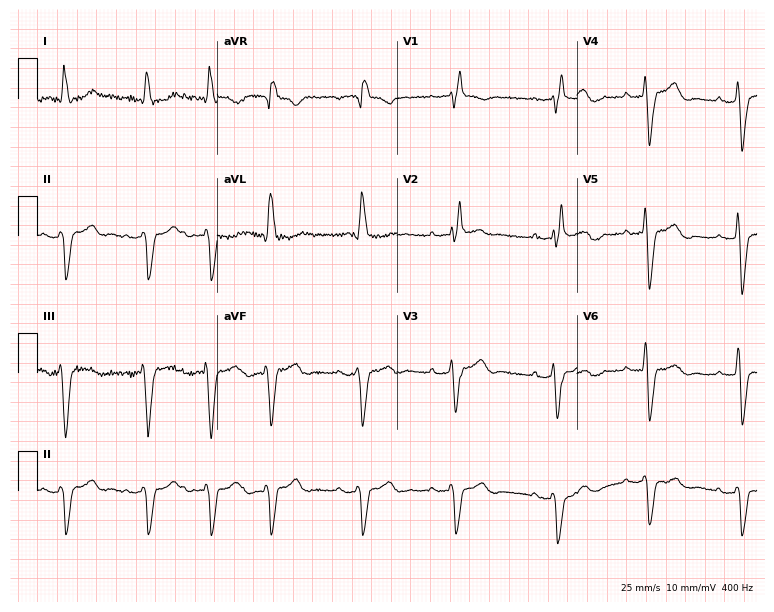
ECG — a 71-year-old male patient. Findings include right bundle branch block.